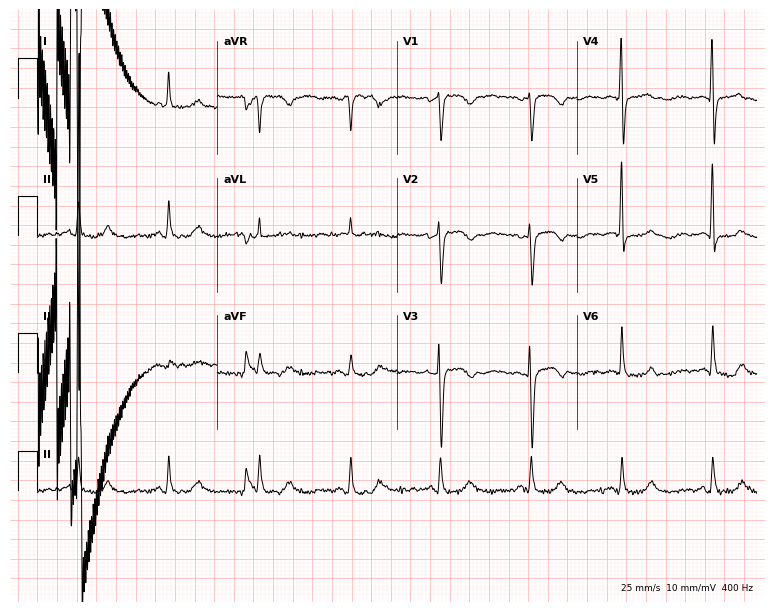
ECG — a female, 85 years old. Screened for six findings — first-degree AV block, right bundle branch block, left bundle branch block, sinus bradycardia, atrial fibrillation, sinus tachycardia — none is recorded.